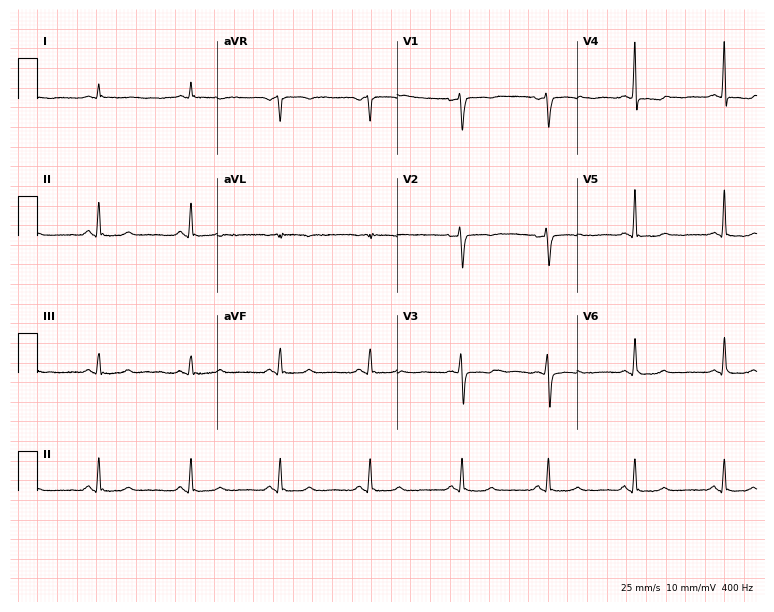
Standard 12-lead ECG recorded from a 50-year-old female. None of these six findings is recorded: first-degree AV block, right bundle branch block, left bundle branch block, sinus bradycardia, atrial fibrillation, sinus tachycardia.